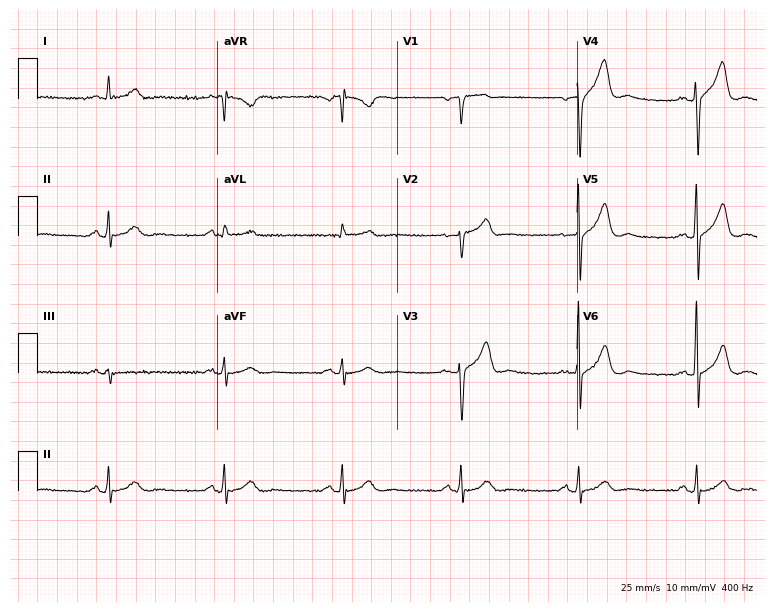
Resting 12-lead electrocardiogram (7.3-second recording at 400 Hz). Patient: a male, 59 years old. Read as a normal ECG.